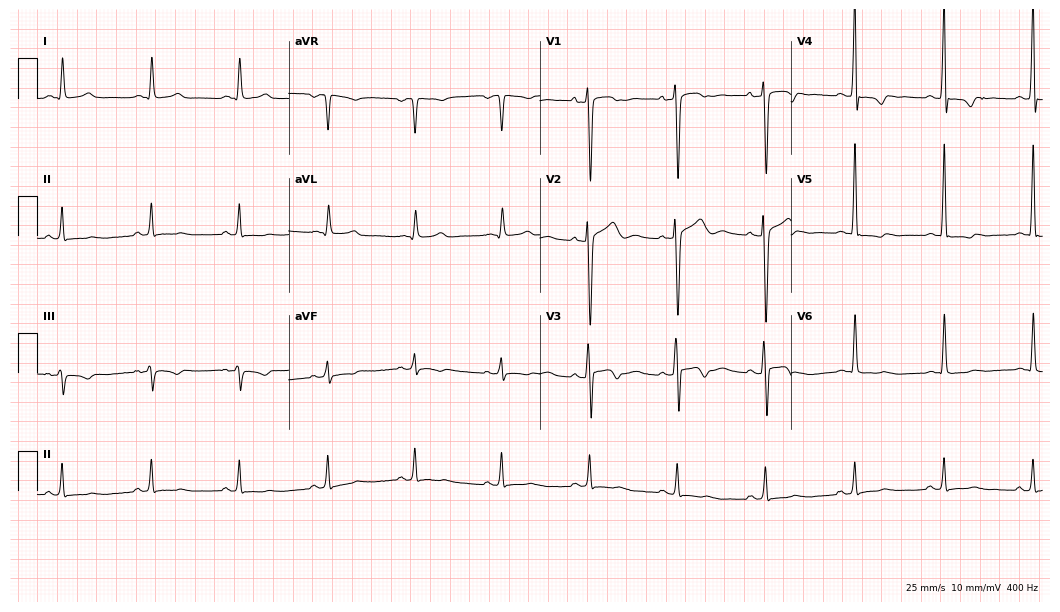
Electrocardiogram (10.2-second recording at 400 Hz), a 42-year-old man. Of the six screened findings (first-degree AV block, right bundle branch block, left bundle branch block, sinus bradycardia, atrial fibrillation, sinus tachycardia), none is recorded. Only these six findings were labelled.